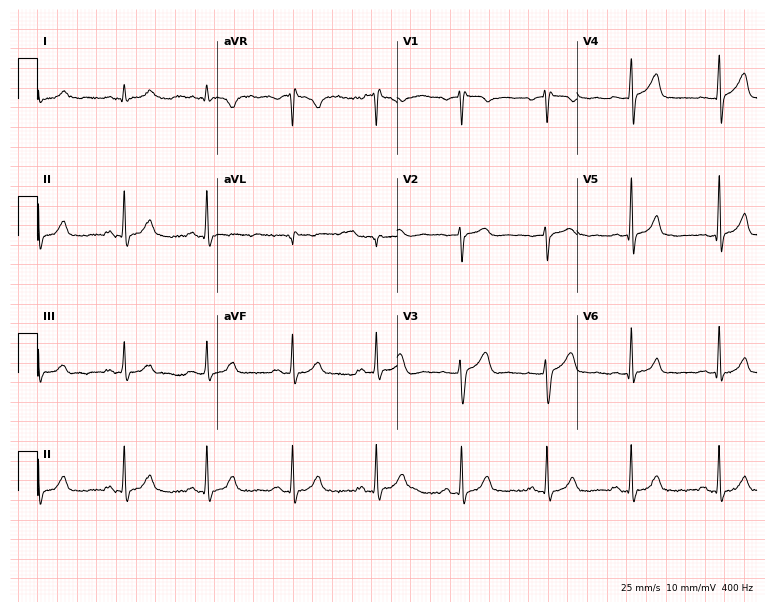
ECG — a male, 38 years old. Screened for six findings — first-degree AV block, right bundle branch block, left bundle branch block, sinus bradycardia, atrial fibrillation, sinus tachycardia — none is recorded.